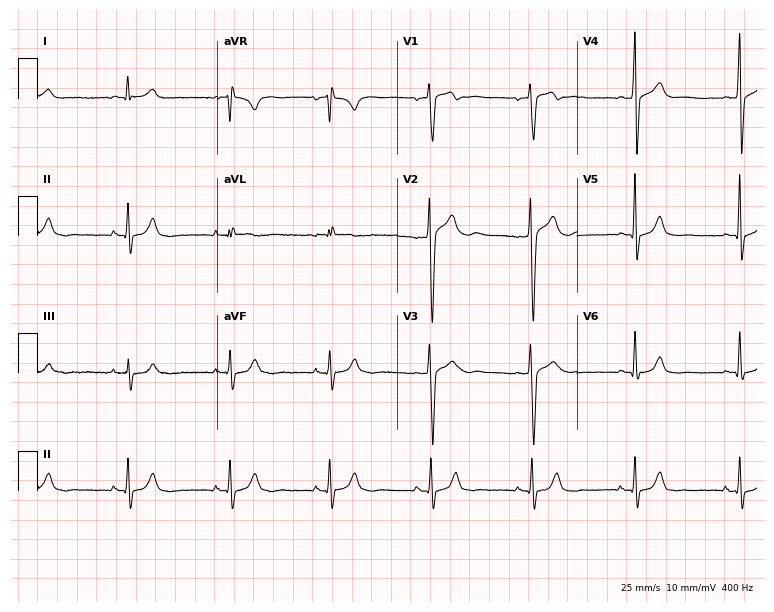
12-lead ECG (7.3-second recording at 400 Hz) from a 22-year-old man. Screened for six findings — first-degree AV block, right bundle branch block, left bundle branch block, sinus bradycardia, atrial fibrillation, sinus tachycardia — none is recorded. Findings outside these six are not listed.